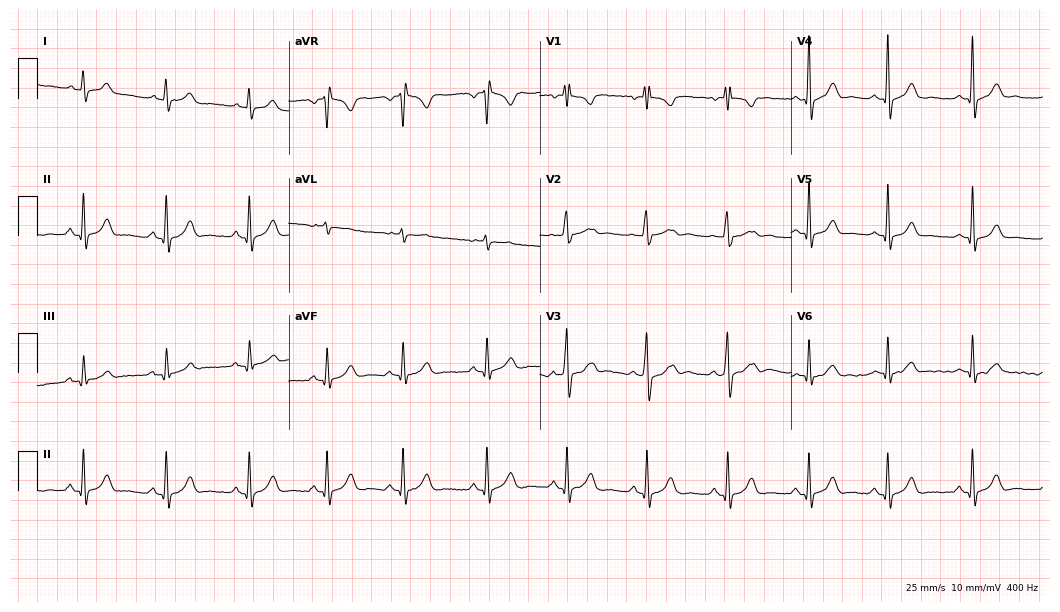
12-lead ECG (10.2-second recording at 400 Hz) from a 24-year-old female. Screened for six findings — first-degree AV block, right bundle branch block, left bundle branch block, sinus bradycardia, atrial fibrillation, sinus tachycardia — none is recorded. Findings outside these six are not listed.